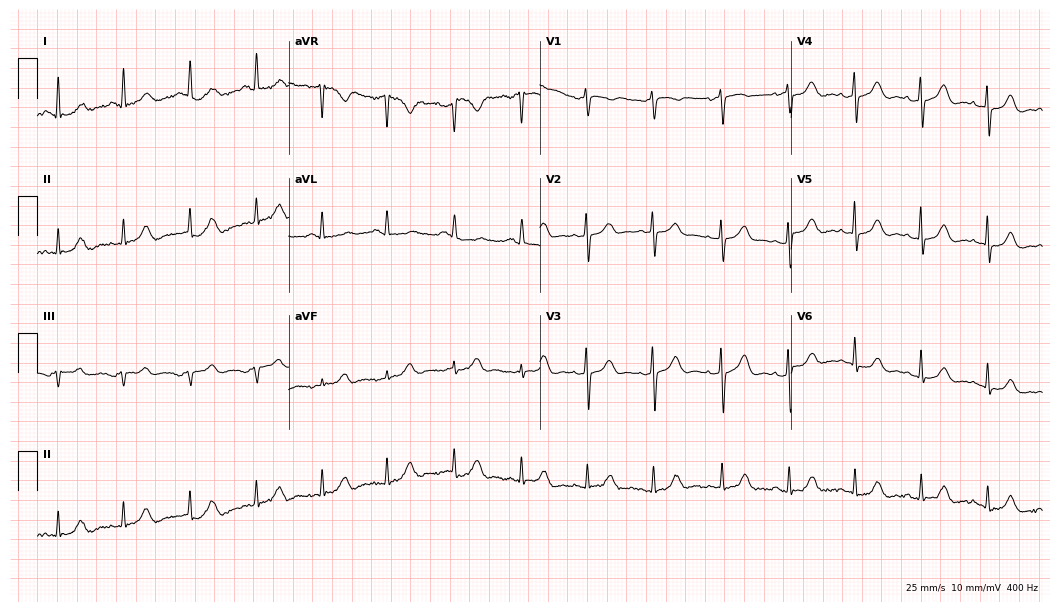
12-lead ECG (10.2-second recording at 400 Hz) from a woman, 79 years old. Labelled as a normal ECG.